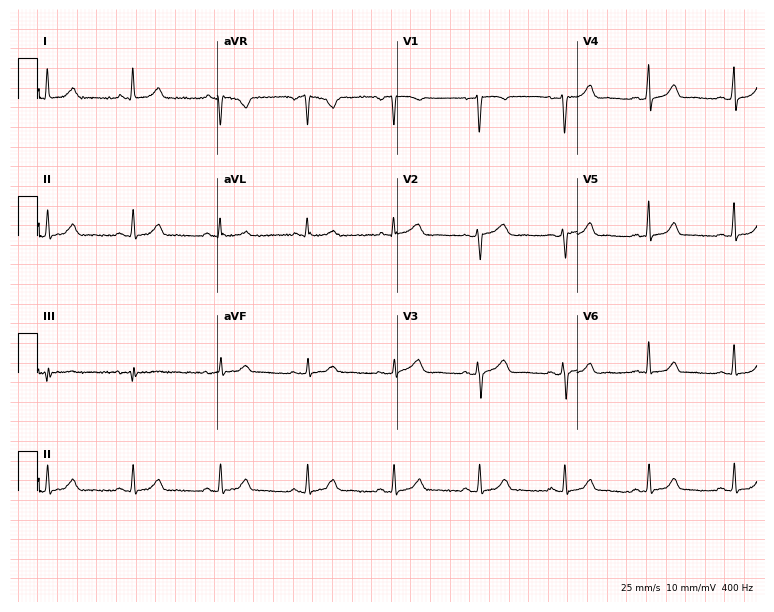
12-lead ECG from a 38-year-old woman. Labelled as a normal ECG.